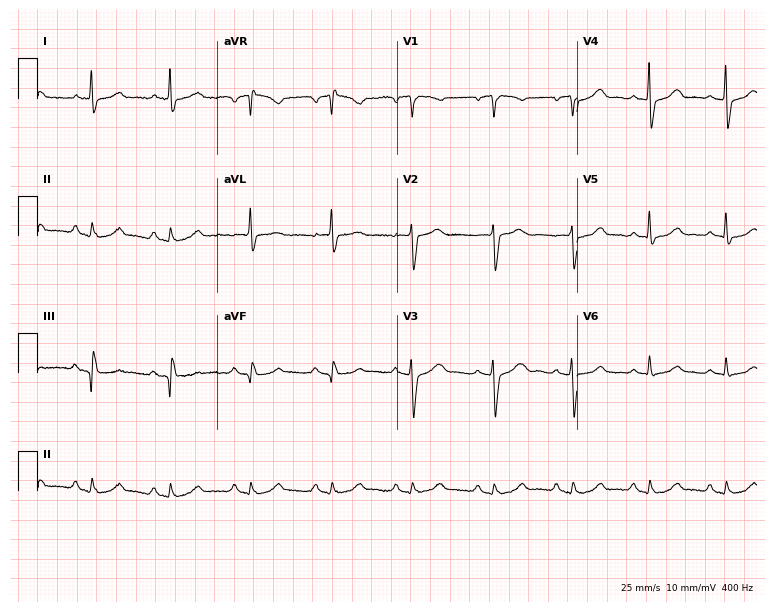
Standard 12-lead ECG recorded from a female, 79 years old. Read as a normal ECG.